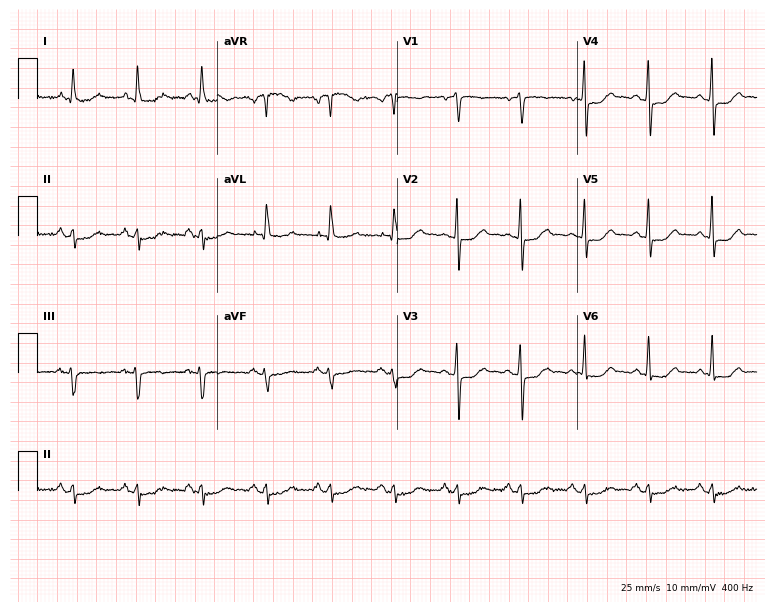
12-lead ECG from a 78-year-old female patient. Recorded interpretation: within normal limits.